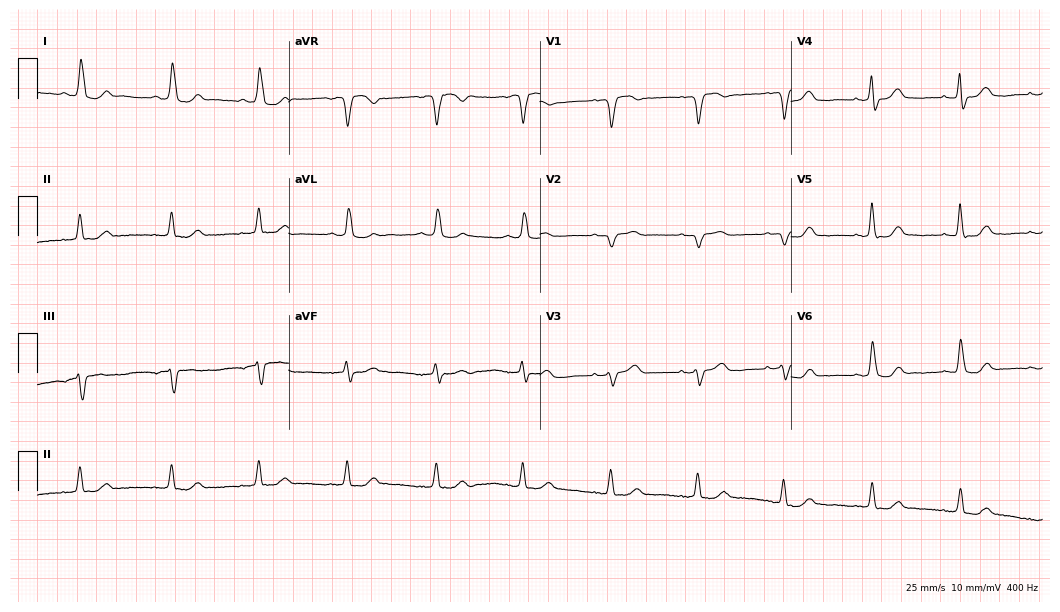
ECG (10.2-second recording at 400 Hz) — a male, 62 years old. Screened for six findings — first-degree AV block, right bundle branch block, left bundle branch block, sinus bradycardia, atrial fibrillation, sinus tachycardia — none is recorded. Other findings, if any, are not listed.